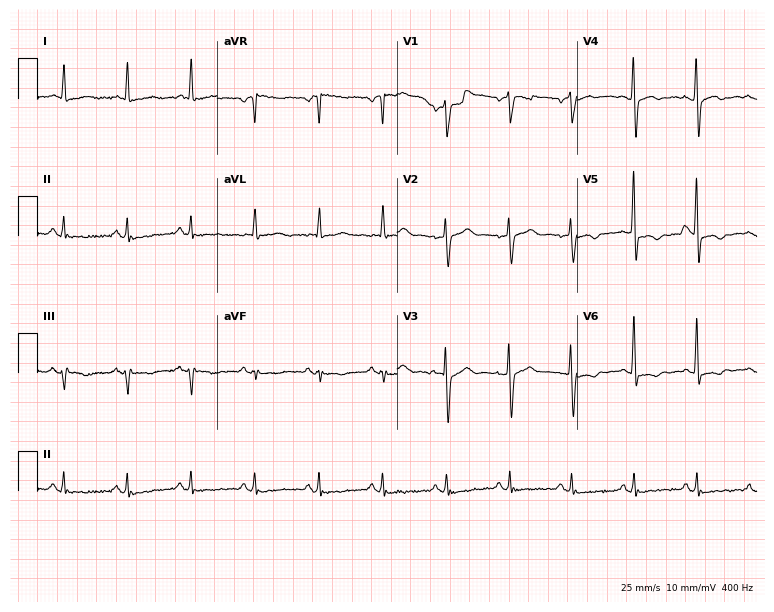
Standard 12-lead ECG recorded from a 58-year-old male patient (7.3-second recording at 400 Hz). None of these six findings is recorded: first-degree AV block, right bundle branch block, left bundle branch block, sinus bradycardia, atrial fibrillation, sinus tachycardia.